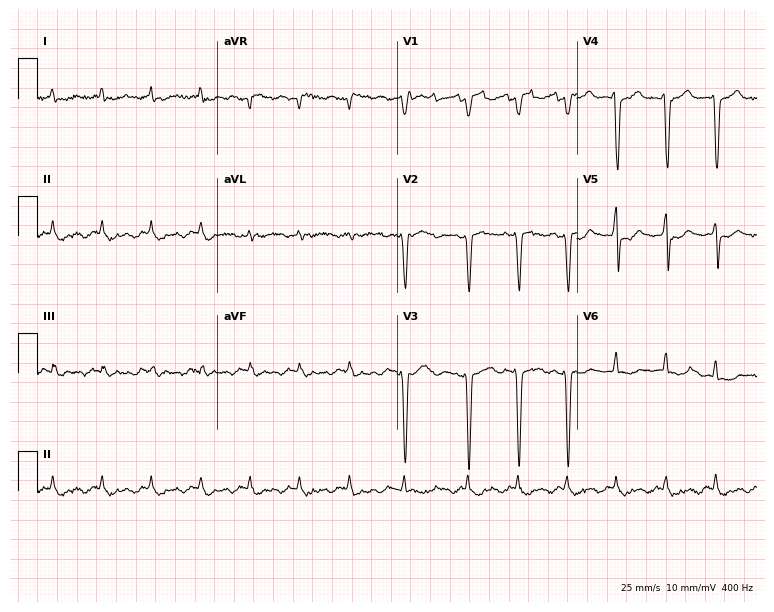
12-lead ECG from a man, 79 years old (7.3-second recording at 400 Hz). No first-degree AV block, right bundle branch block, left bundle branch block, sinus bradycardia, atrial fibrillation or sinus tachycardia recorded for this tracing. Only these six findings were labelled.